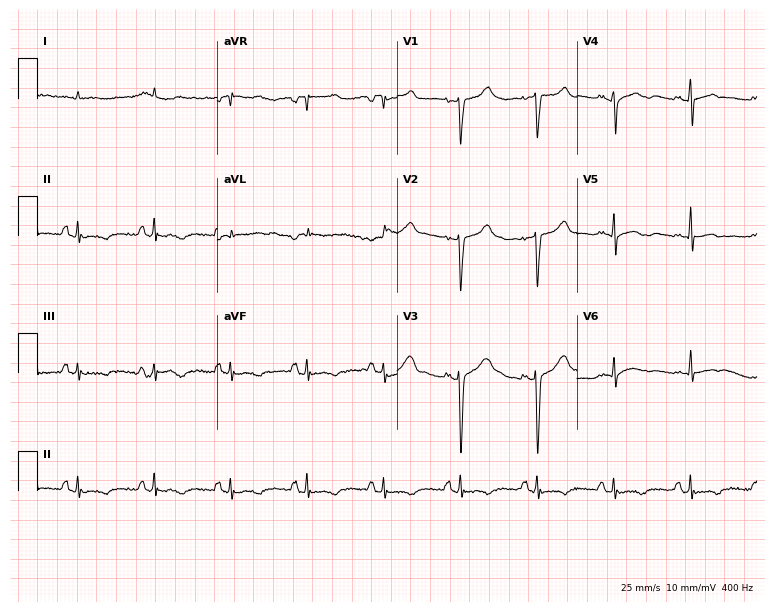
Electrocardiogram, a male, 72 years old. Of the six screened findings (first-degree AV block, right bundle branch block, left bundle branch block, sinus bradycardia, atrial fibrillation, sinus tachycardia), none is recorded.